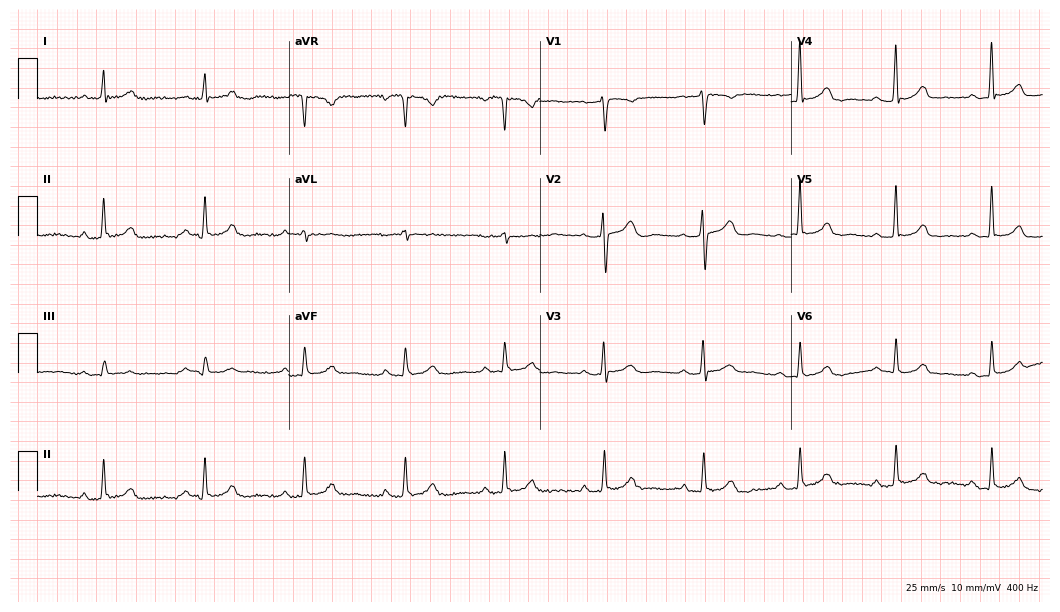
12-lead ECG from a 41-year-old man. Screened for six findings — first-degree AV block, right bundle branch block (RBBB), left bundle branch block (LBBB), sinus bradycardia, atrial fibrillation (AF), sinus tachycardia — none is recorded. Findings outside these six are not listed.